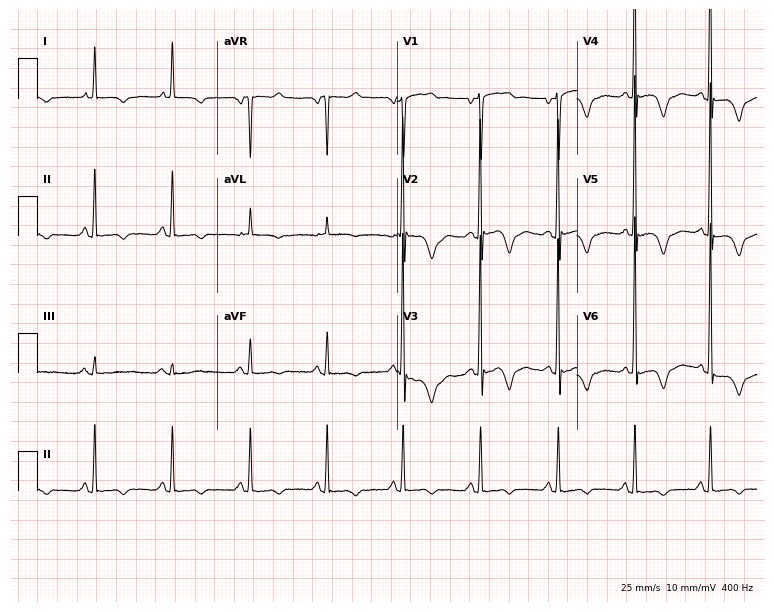
Standard 12-lead ECG recorded from a 77-year-old female. None of these six findings is recorded: first-degree AV block, right bundle branch block, left bundle branch block, sinus bradycardia, atrial fibrillation, sinus tachycardia.